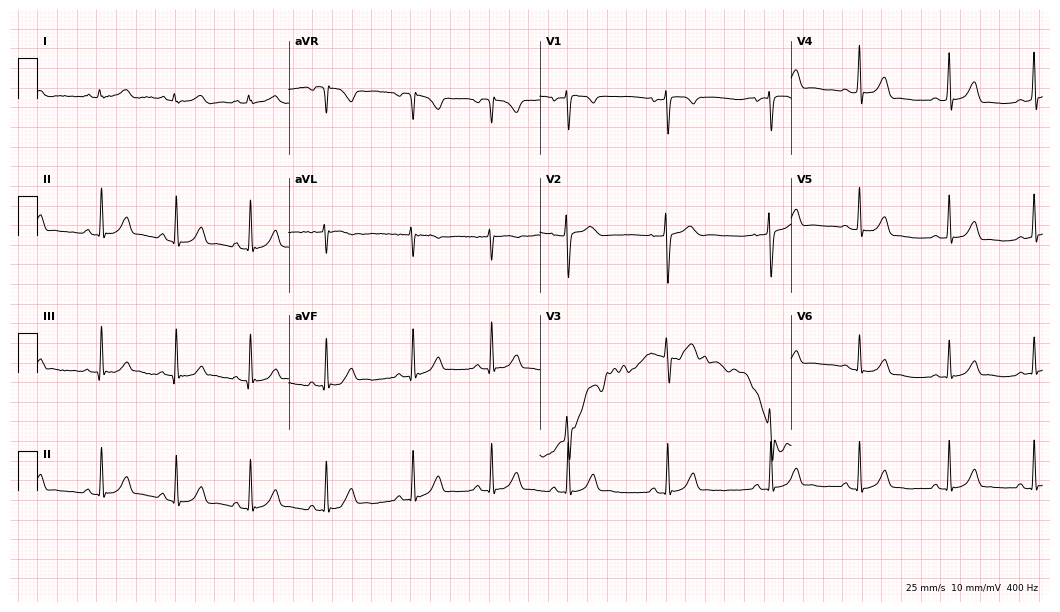
12-lead ECG from a 19-year-old female (10.2-second recording at 400 Hz). Recorded interpretation: within normal limits.